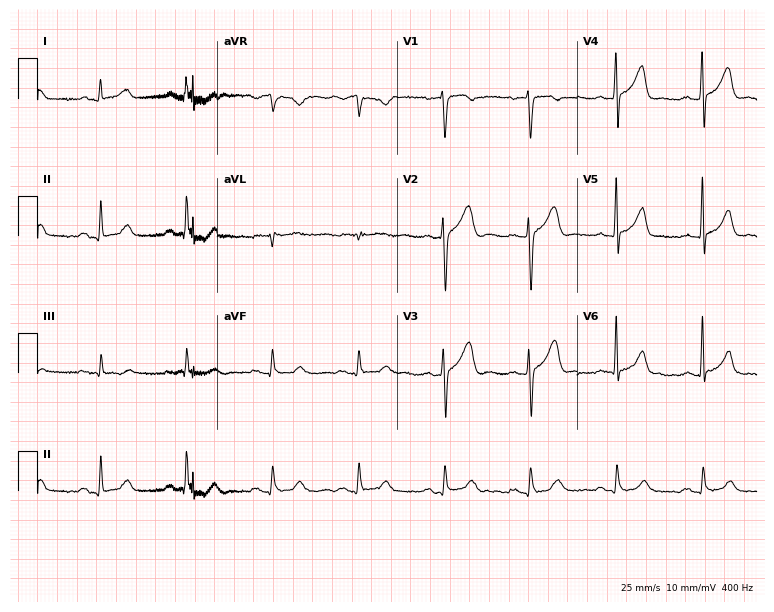
Electrocardiogram (7.3-second recording at 400 Hz), a male, 69 years old. Of the six screened findings (first-degree AV block, right bundle branch block, left bundle branch block, sinus bradycardia, atrial fibrillation, sinus tachycardia), none is recorded. Other findings, if any, are not listed.